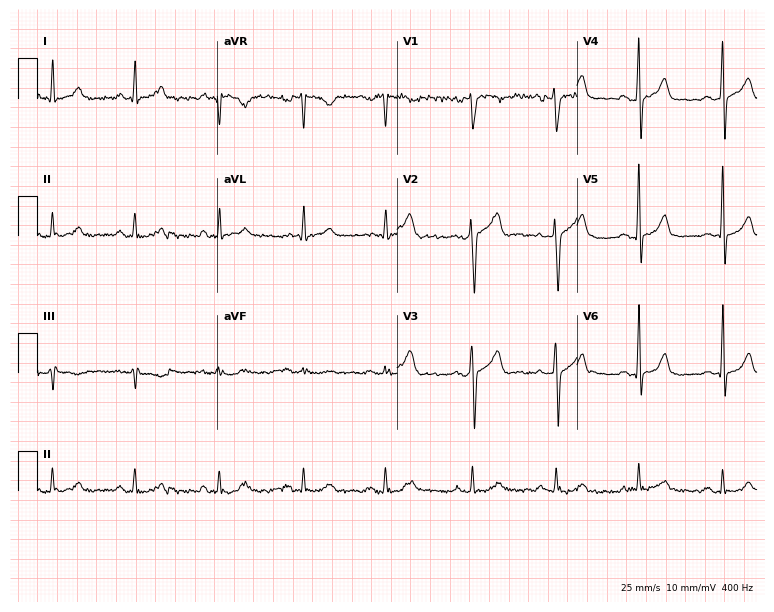
Resting 12-lead electrocardiogram (7.3-second recording at 400 Hz). Patient: a male, 41 years old. Read as a normal ECG.